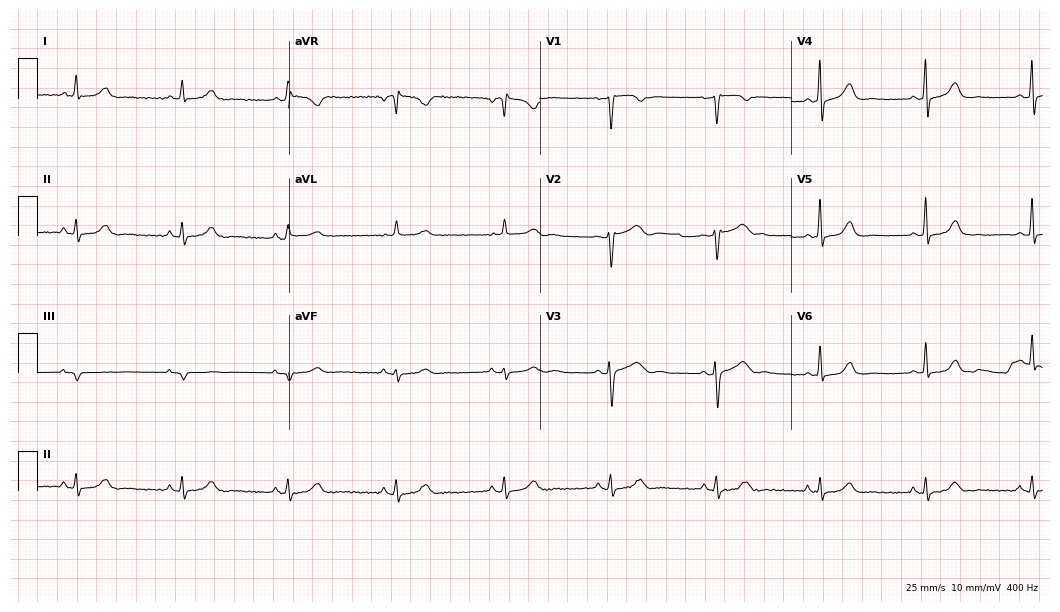
Electrocardiogram (10.2-second recording at 400 Hz), a 57-year-old woman. Of the six screened findings (first-degree AV block, right bundle branch block (RBBB), left bundle branch block (LBBB), sinus bradycardia, atrial fibrillation (AF), sinus tachycardia), none is recorded.